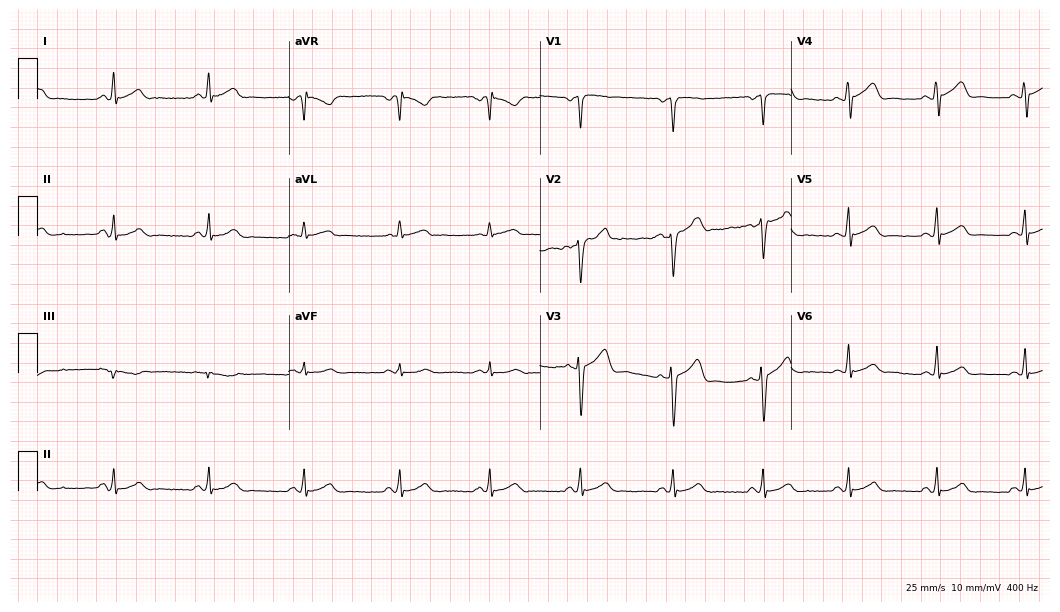
Standard 12-lead ECG recorded from a 45-year-old male patient. Read as a normal ECG.